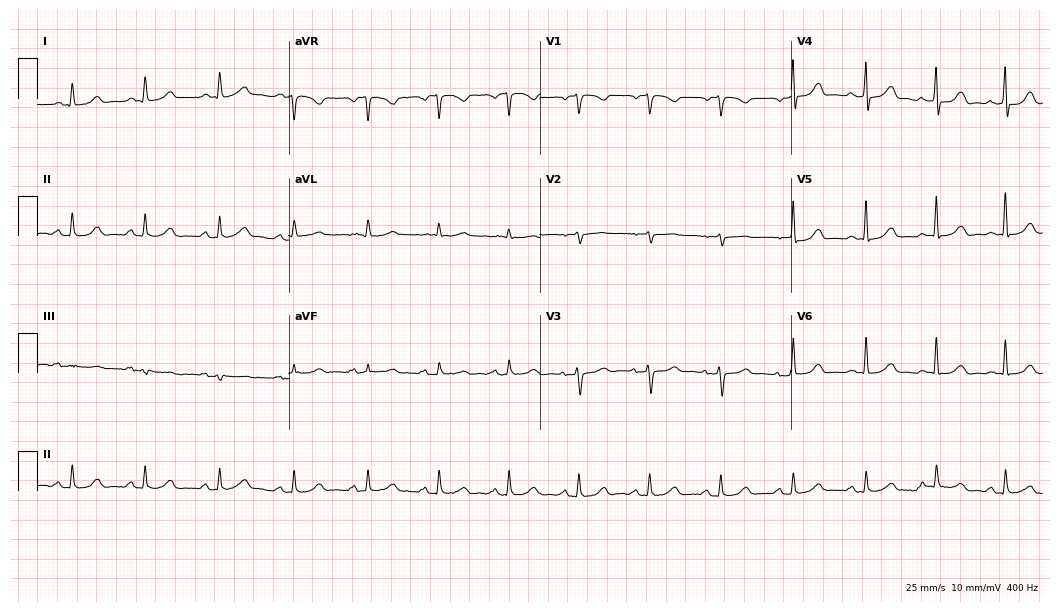
12-lead ECG from a female patient, 71 years old. Recorded interpretation: within normal limits.